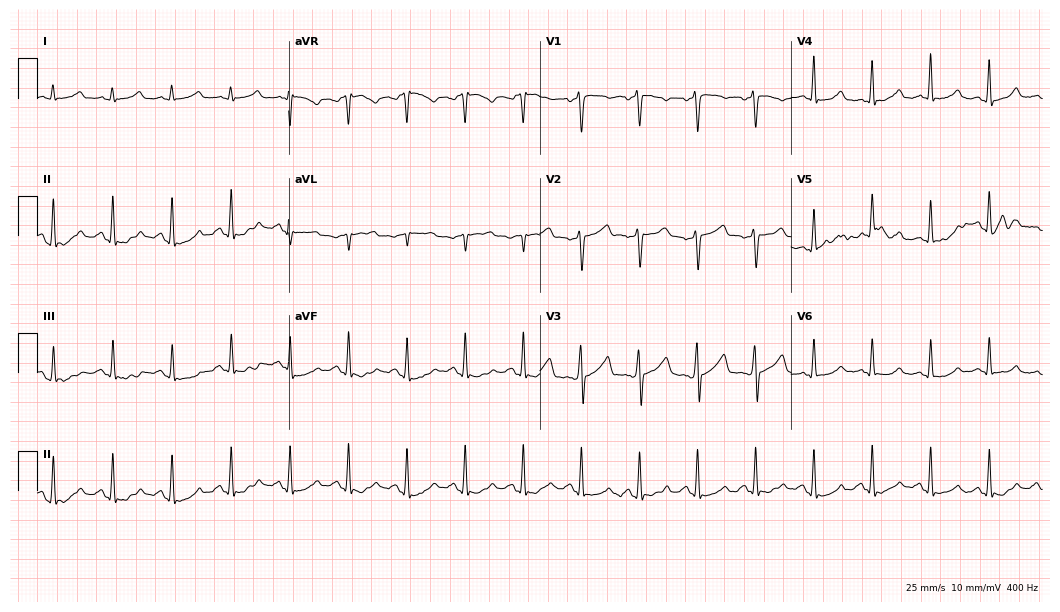
Electrocardiogram (10.2-second recording at 400 Hz), a male patient, 34 years old. Of the six screened findings (first-degree AV block, right bundle branch block, left bundle branch block, sinus bradycardia, atrial fibrillation, sinus tachycardia), none is recorded.